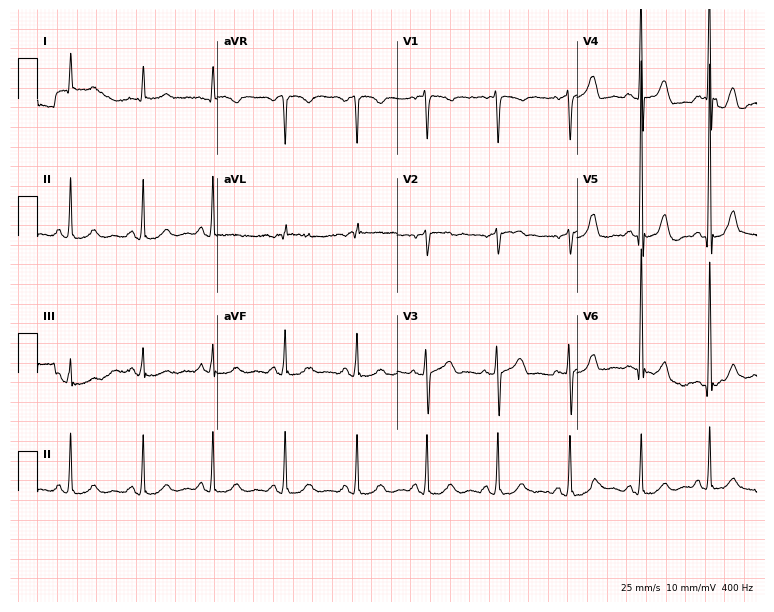
Resting 12-lead electrocardiogram (7.3-second recording at 400 Hz). Patient: a male, 77 years old. None of these six findings is recorded: first-degree AV block, right bundle branch block, left bundle branch block, sinus bradycardia, atrial fibrillation, sinus tachycardia.